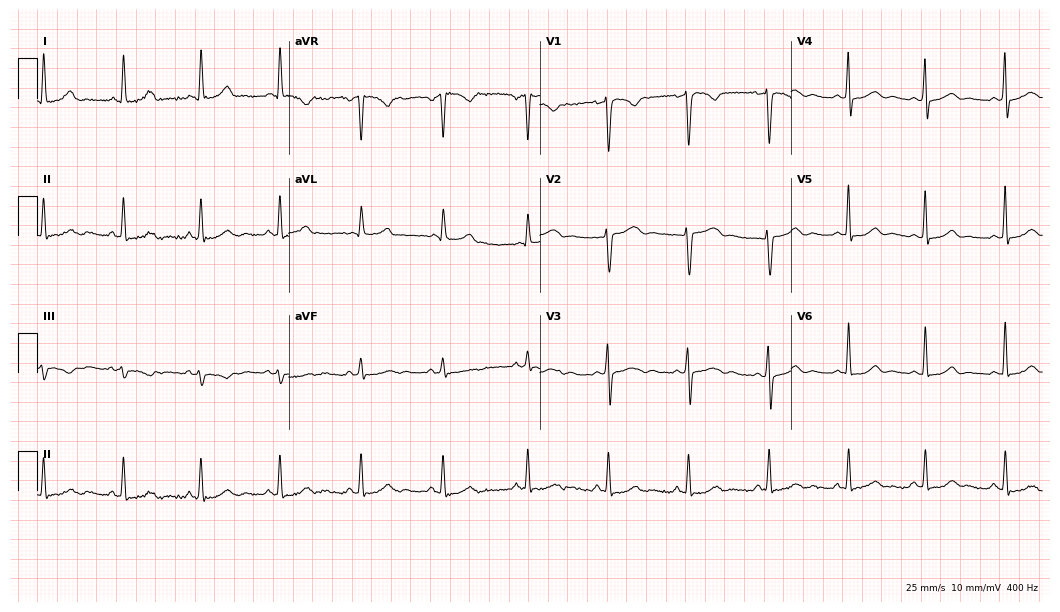
Standard 12-lead ECG recorded from a female, 44 years old. Read as a normal ECG.